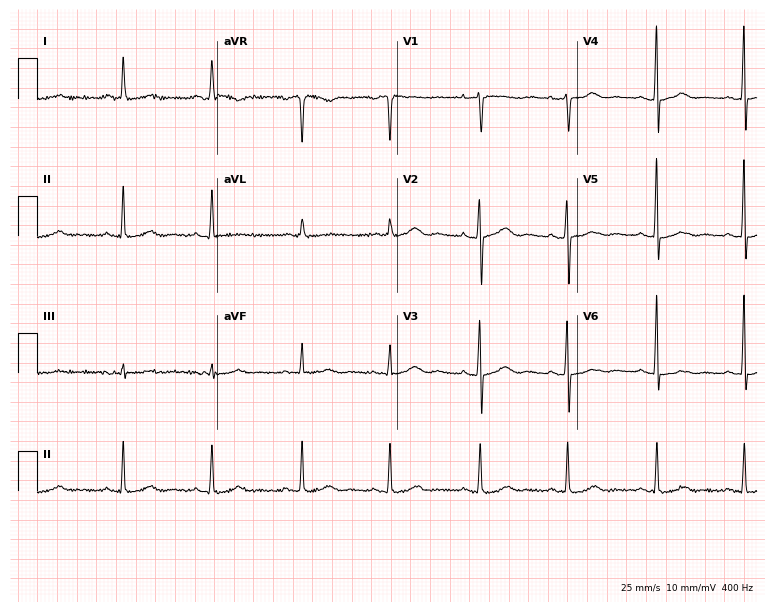
Electrocardiogram (7.3-second recording at 400 Hz), a female, 75 years old. Of the six screened findings (first-degree AV block, right bundle branch block (RBBB), left bundle branch block (LBBB), sinus bradycardia, atrial fibrillation (AF), sinus tachycardia), none is recorded.